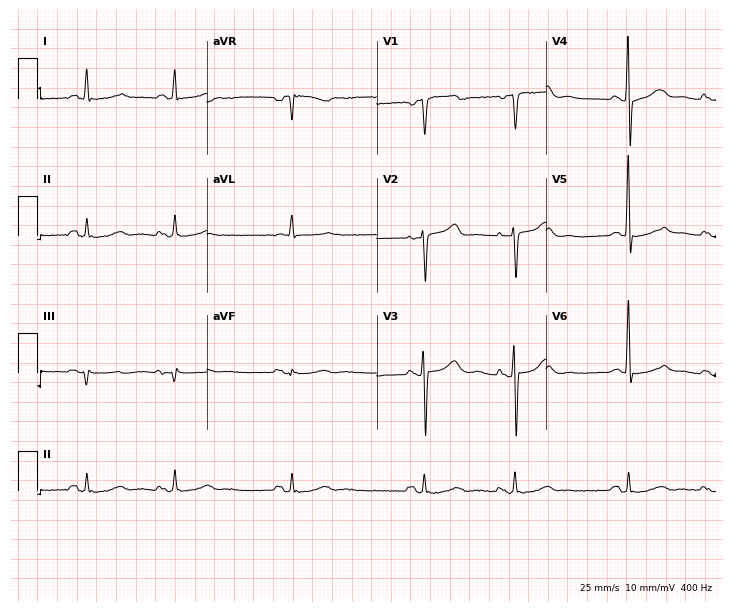
12-lead ECG from a 67-year-old man. No first-degree AV block, right bundle branch block (RBBB), left bundle branch block (LBBB), sinus bradycardia, atrial fibrillation (AF) or sinus tachycardia recorded for this tracing. Findings outside these six are not listed.